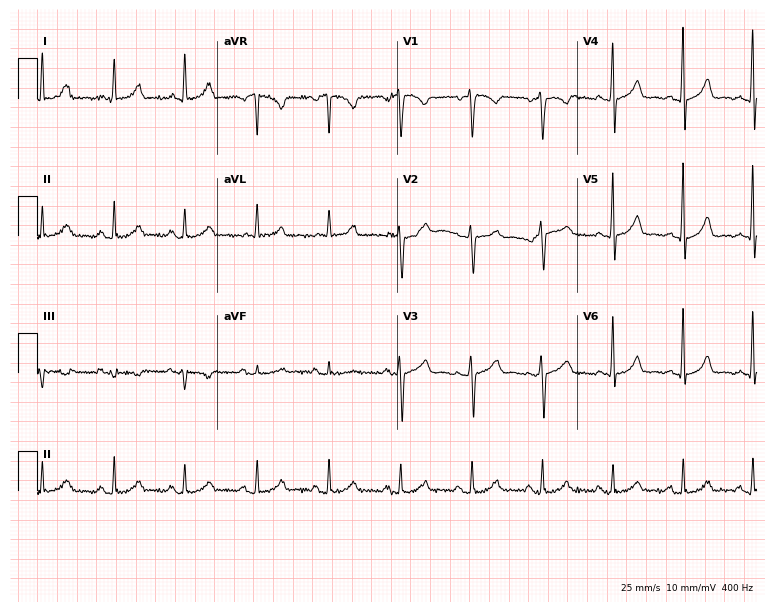
Resting 12-lead electrocardiogram (7.3-second recording at 400 Hz). Patient: a 41-year-old female. None of these six findings is recorded: first-degree AV block, right bundle branch block, left bundle branch block, sinus bradycardia, atrial fibrillation, sinus tachycardia.